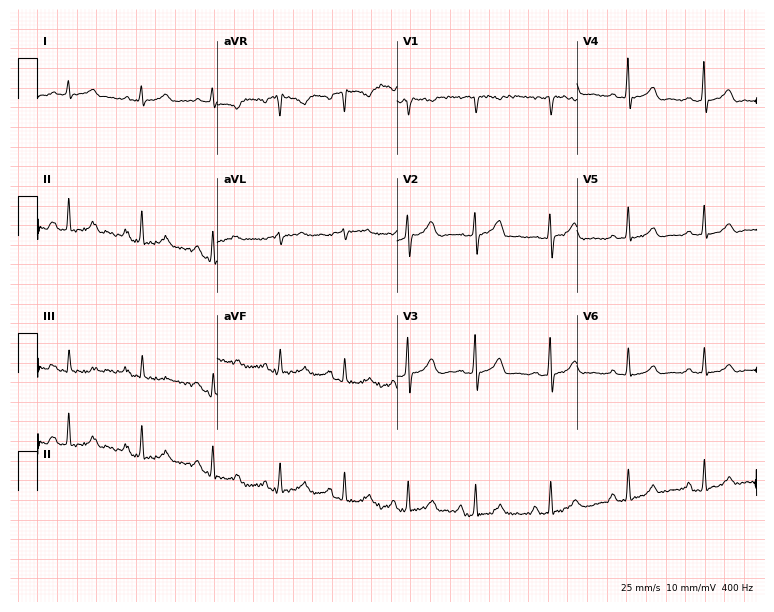
ECG — a female patient, 40 years old. Screened for six findings — first-degree AV block, right bundle branch block, left bundle branch block, sinus bradycardia, atrial fibrillation, sinus tachycardia — none is recorded. Findings outside these six are not listed.